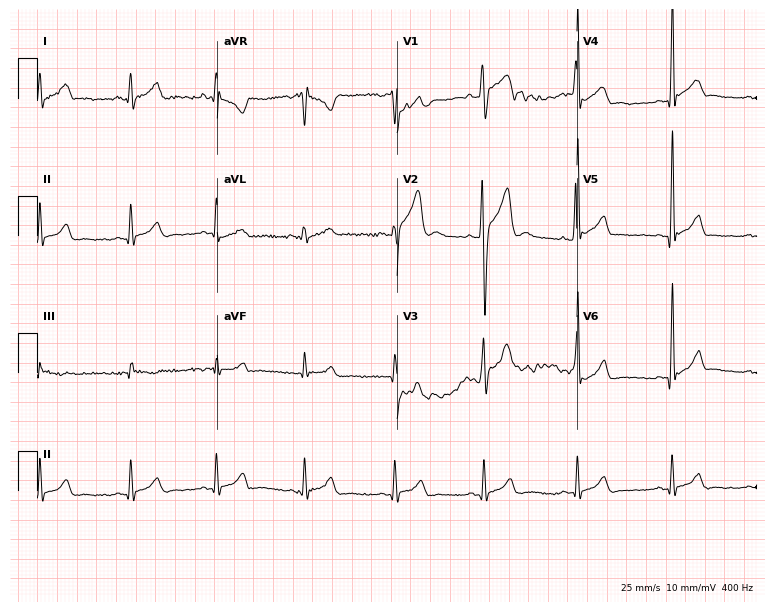
12-lead ECG from a 19-year-old male patient. No first-degree AV block, right bundle branch block, left bundle branch block, sinus bradycardia, atrial fibrillation or sinus tachycardia recorded for this tracing.